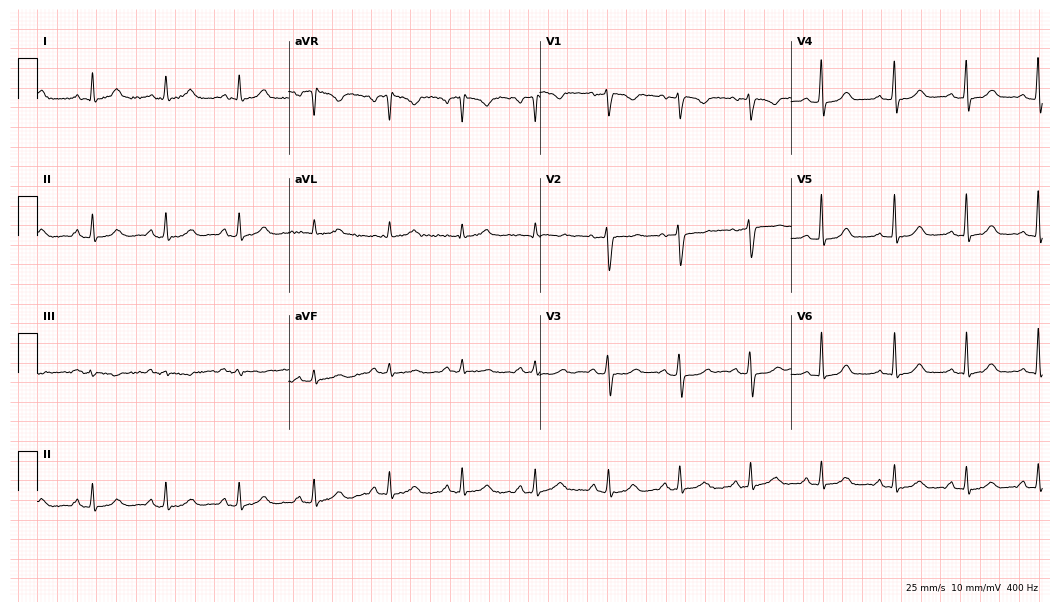
ECG (10.2-second recording at 400 Hz) — a female, 31 years old. Labelled as a normal ECG.